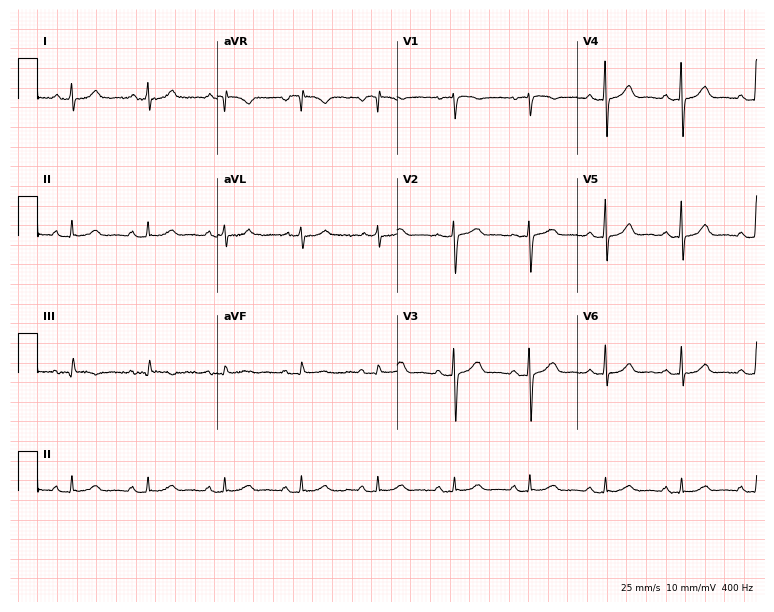
12-lead ECG from a female, 64 years old. Screened for six findings — first-degree AV block, right bundle branch block, left bundle branch block, sinus bradycardia, atrial fibrillation, sinus tachycardia — none is recorded.